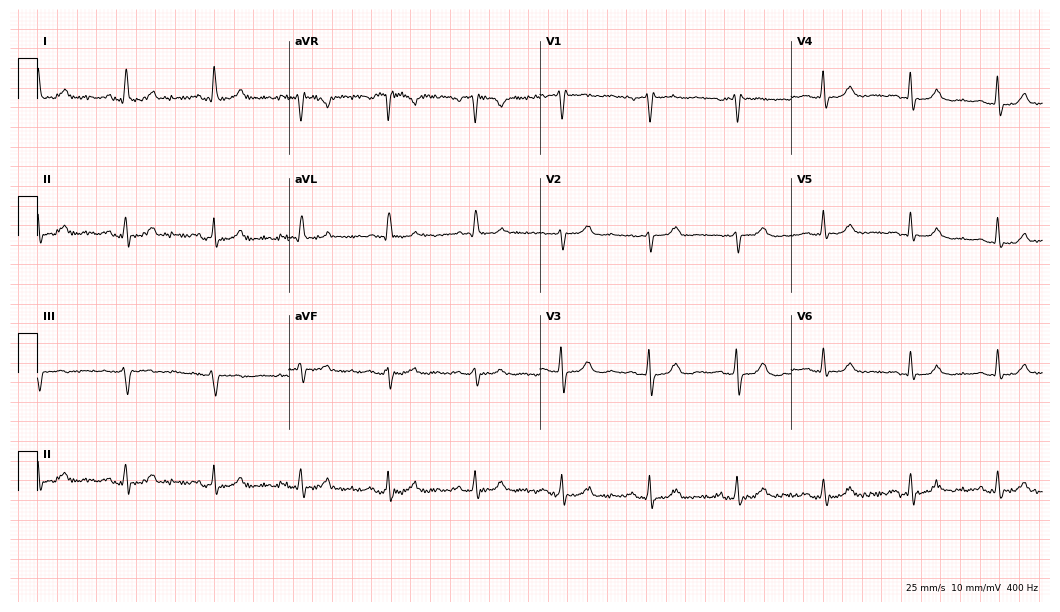
Standard 12-lead ECG recorded from a woman, 61 years old (10.2-second recording at 400 Hz). Read as a normal ECG.